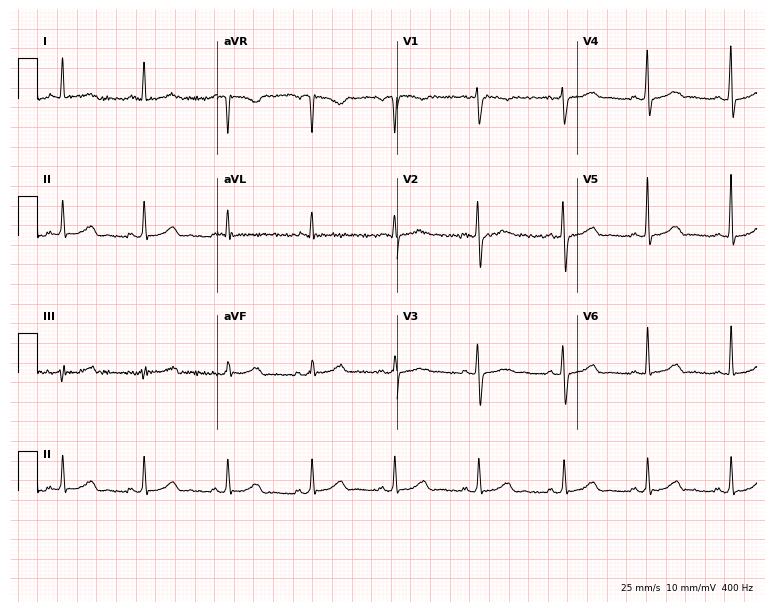
ECG — a 37-year-old female patient. Screened for six findings — first-degree AV block, right bundle branch block (RBBB), left bundle branch block (LBBB), sinus bradycardia, atrial fibrillation (AF), sinus tachycardia — none is recorded. Only these six findings were labelled.